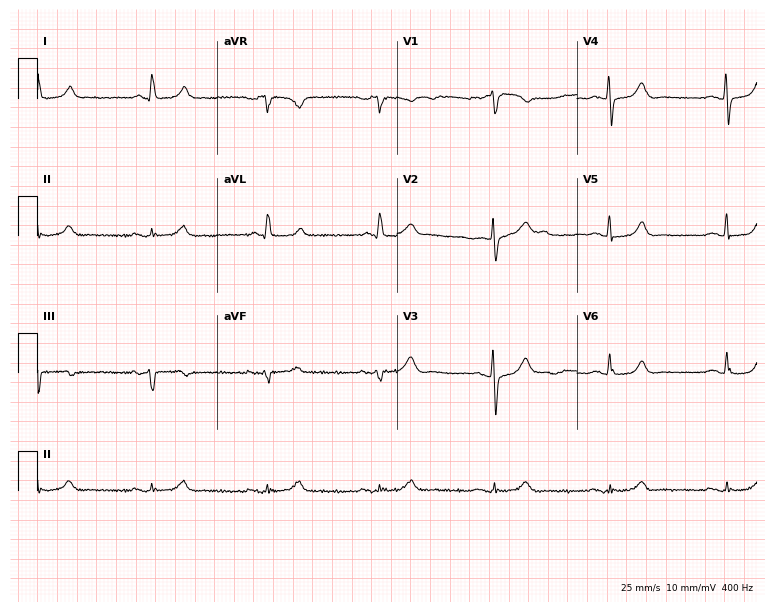
Standard 12-lead ECG recorded from a 79-year-old male. Read as a normal ECG.